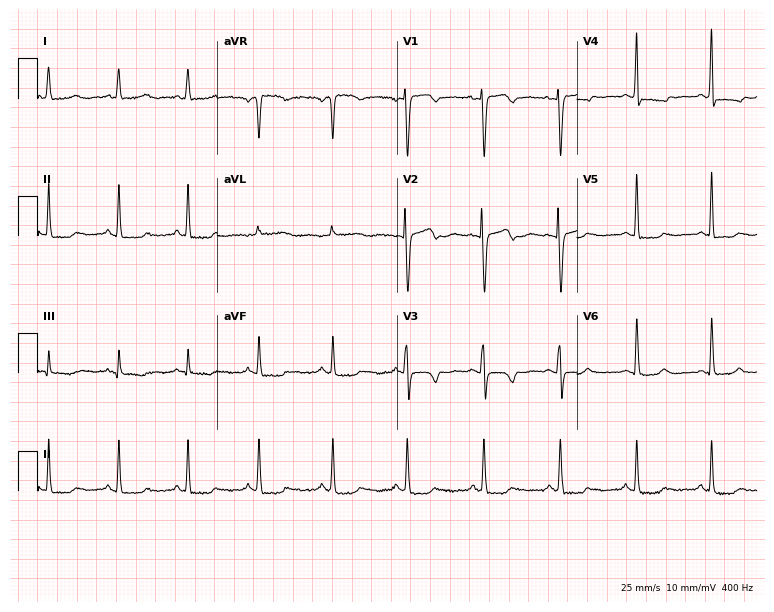
Standard 12-lead ECG recorded from a female, 52 years old (7.3-second recording at 400 Hz). None of these six findings is recorded: first-degree AV block, right bundle branch block, left bundle branch block, sinus bradycardia, atrial fibrillation, sinus tachycardia.